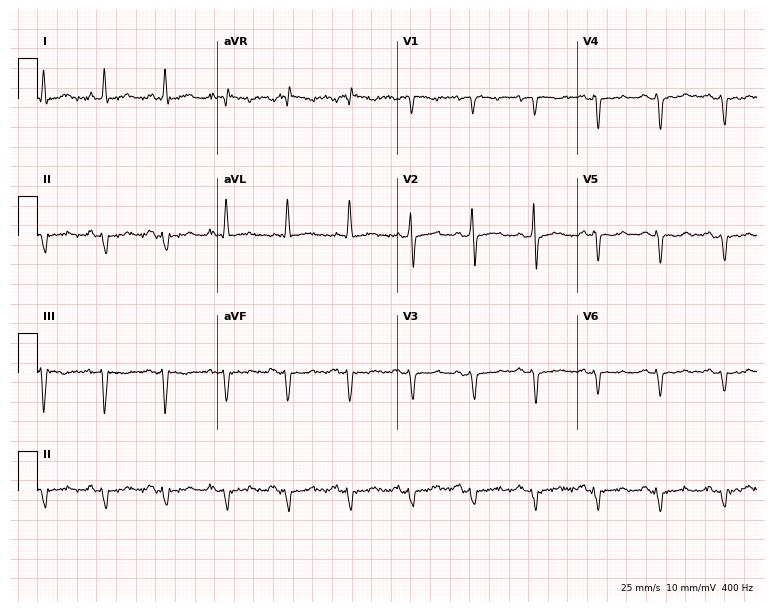
12-lead ECG from an 82-year-old male patient. No first-degree AV block, right bundle branch block, left bundle branch block, sinus bradycardia, atrial fibrillation or sinus tachycardia recorded for this tracing. Findings outside these six are not listed.